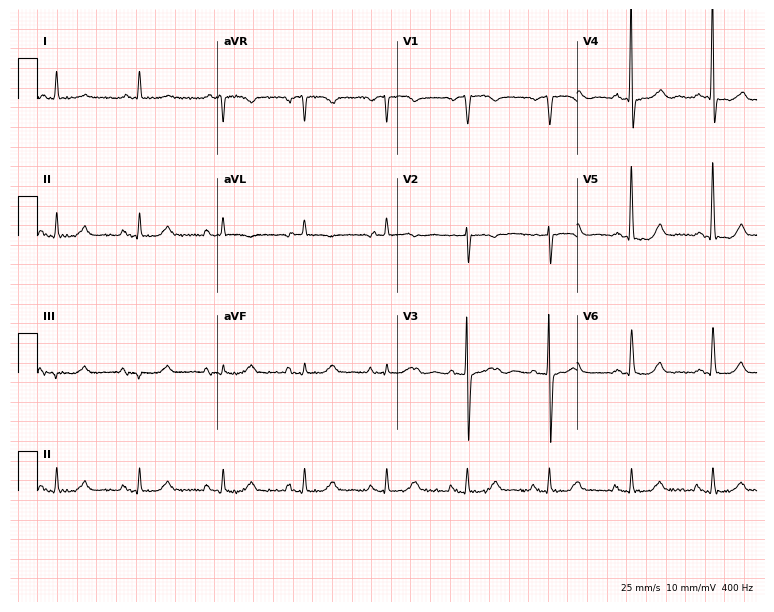
ECG (7.3-second recording at 400 Hz) — a male patient, 81 years old. Labelled as a normal ECG.